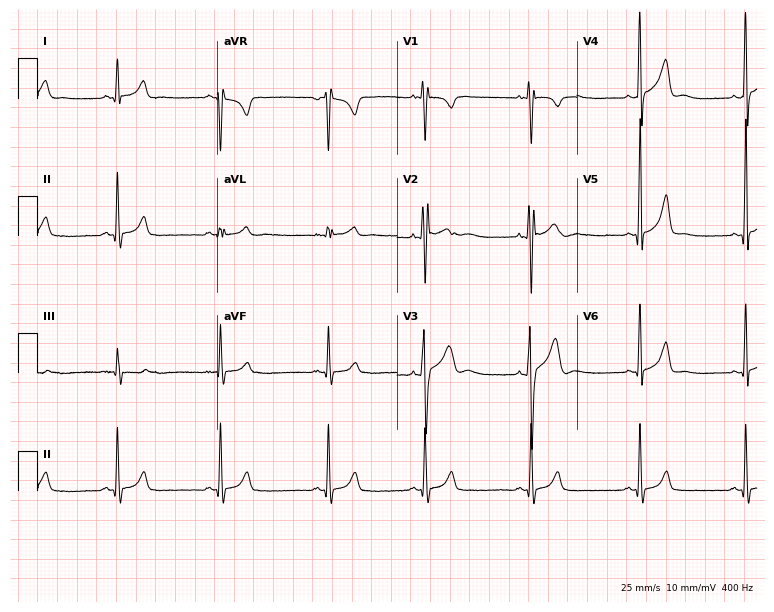
12-lead ECG from a 20-year-old male patient. Labelled as a normal ECG.